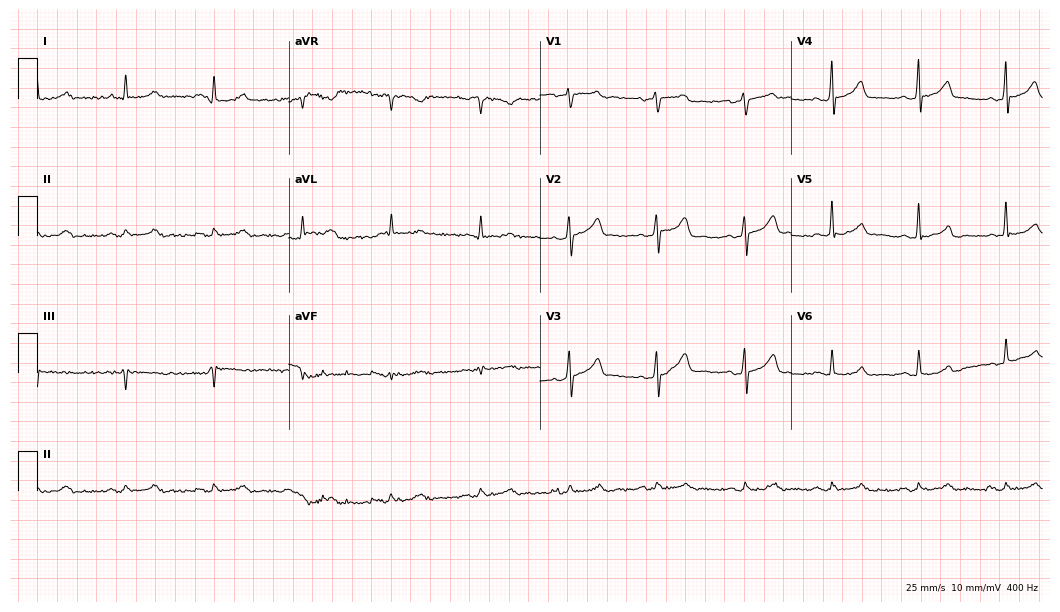
Resting 12-lead electrocardiogram (10.2-second recording at 400 Hz). Patient: a 46-year-old male. Read as a normal ECG.